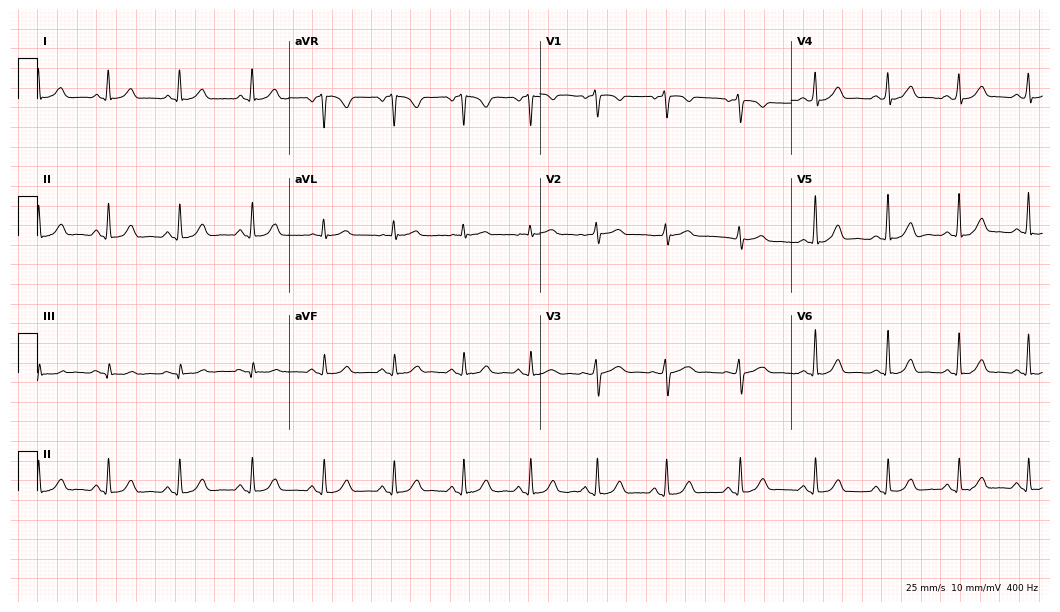
12-lead ECG from a woman, 48 years old. Recorded interpretation: within normal limits.